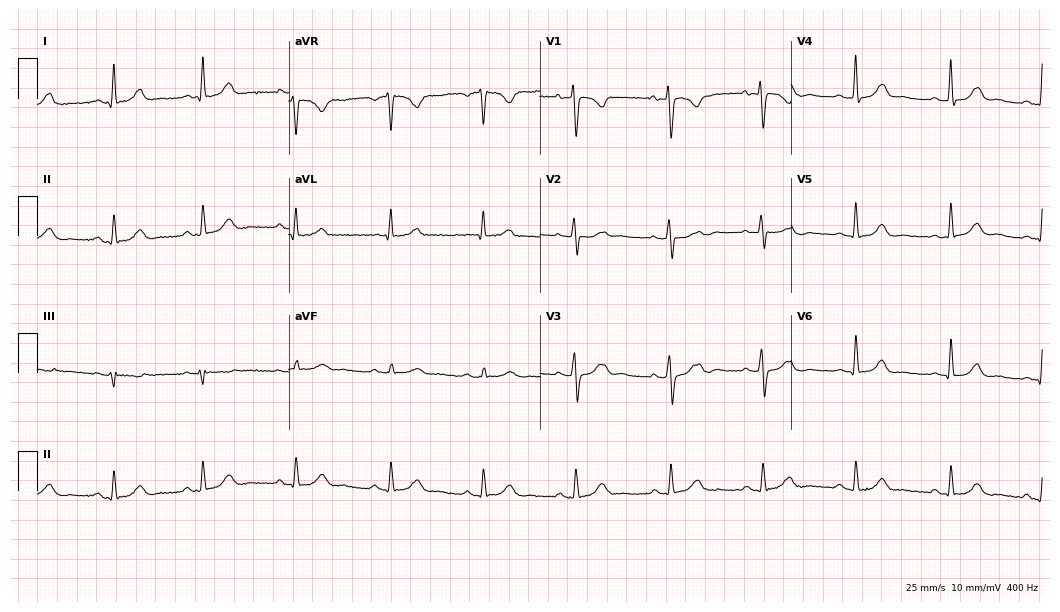
Resting 12-lead electrocardiogram. Patient: a 42-year-old female. Read as a normal ECG.